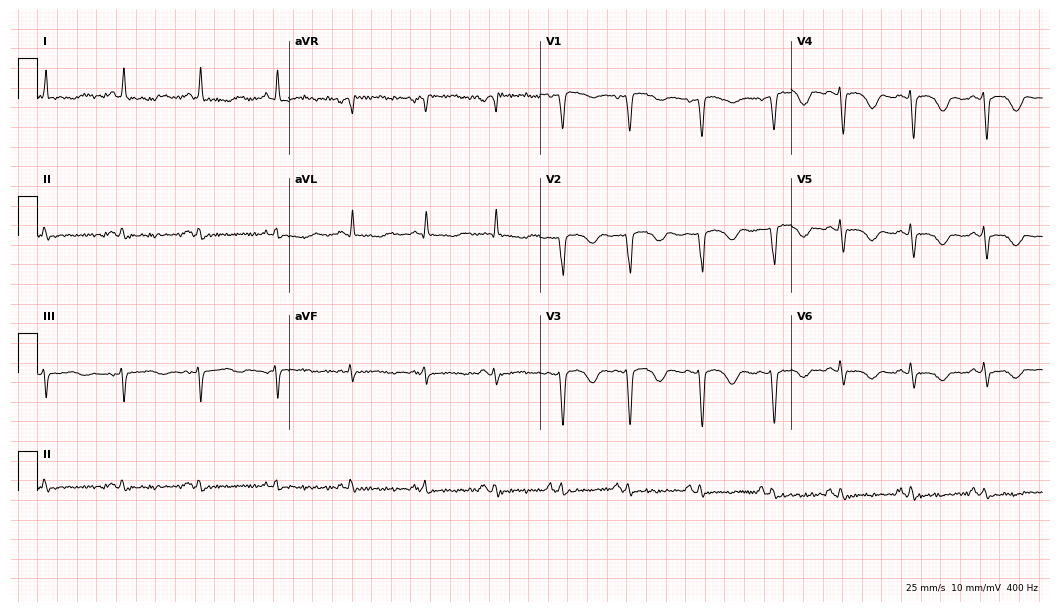
Resting 12-lead electrocardiogram. Patient: a 50-year-old woman. None of these six findings is recorded: first-degree AV block, right bundle branch block, left bundle branch block, sinus bradycardia, atrial fibrillation, sinus tachycardia.